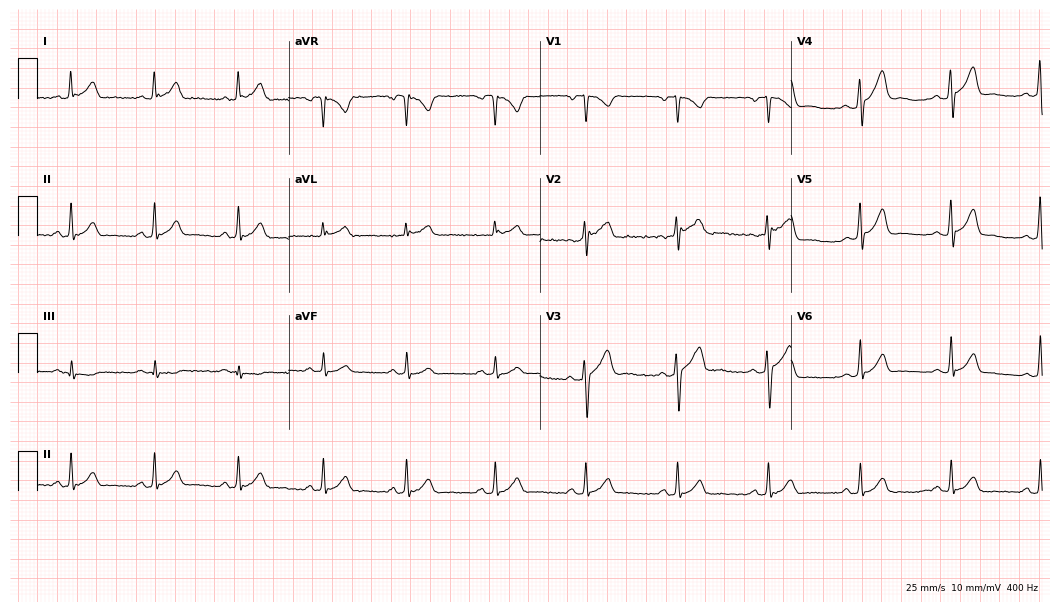
12-lead ECG from a male, 39 years old. Labelled as a normal ECG.